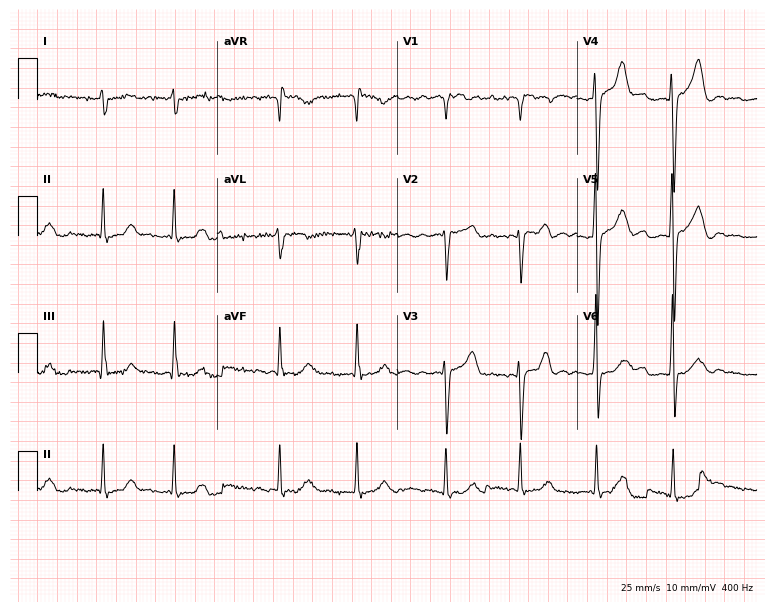
Electrocardiogram, a man, 79 years old. Interpretation includes atrial fibrillation (AF).